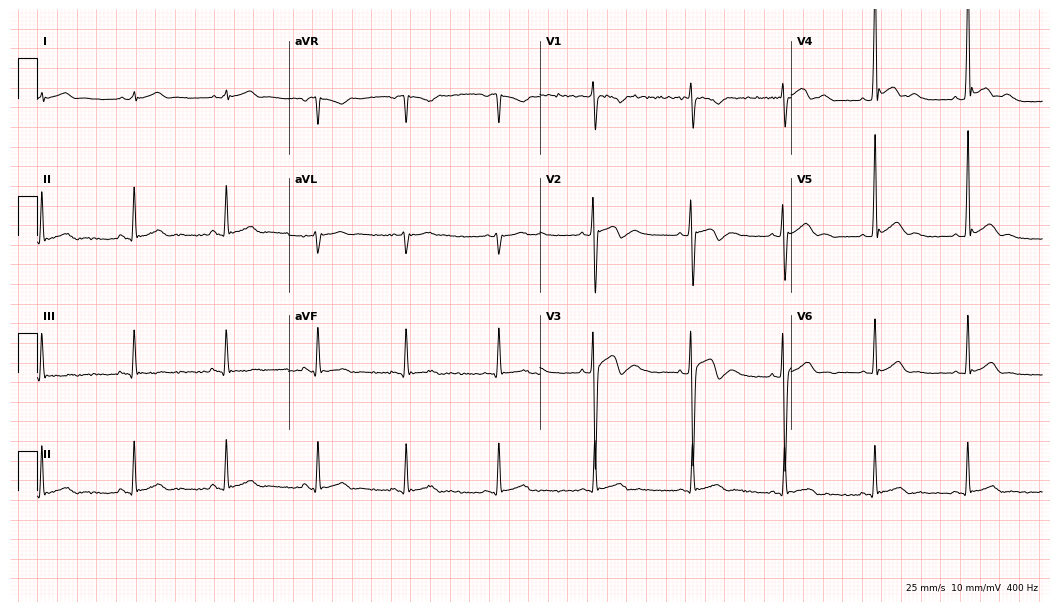
12-lead ECG from a 17-year-old man (10.2-second recording at 400 Hz). Recorded interpretation: within normal limits.